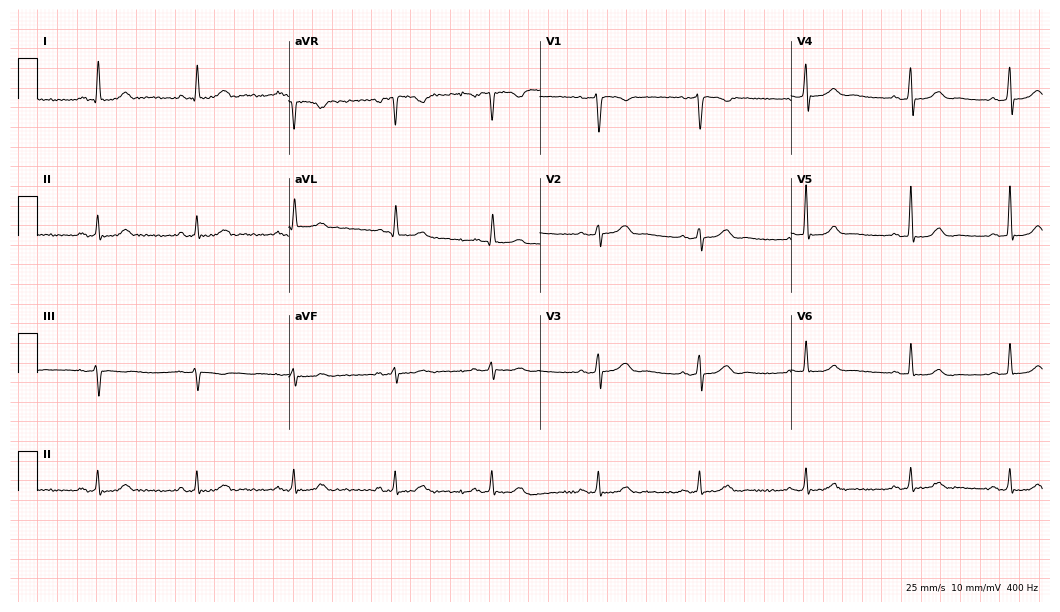
Standard 12-lead ECG recorded from a female, 27 years old (10.2-second recording at 400 Hz). Read as a normal ECG.